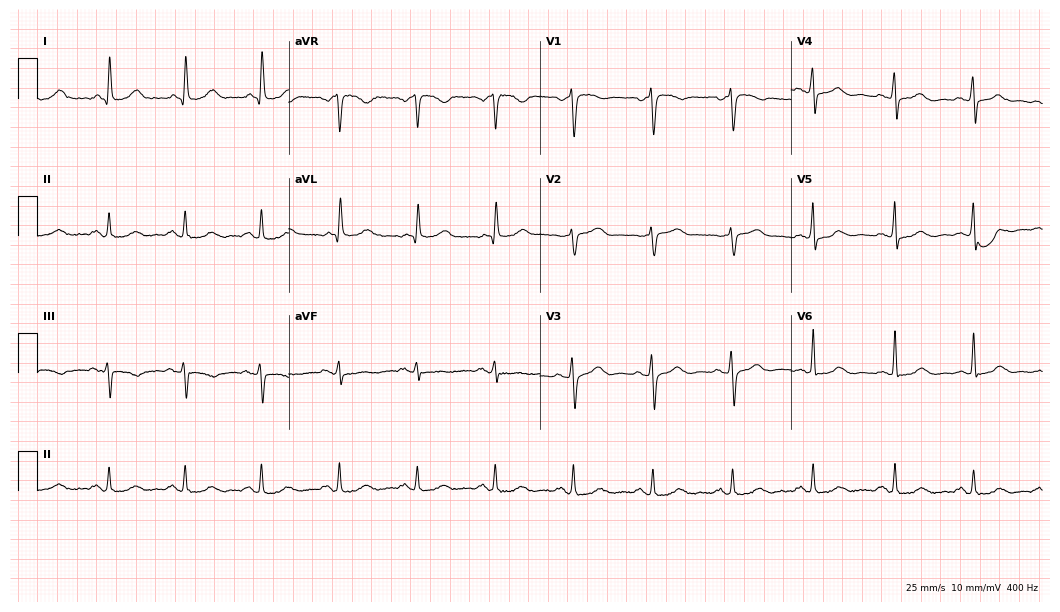
12-lead ECG from a 74-year-old female. Labelled as a normal ECG.